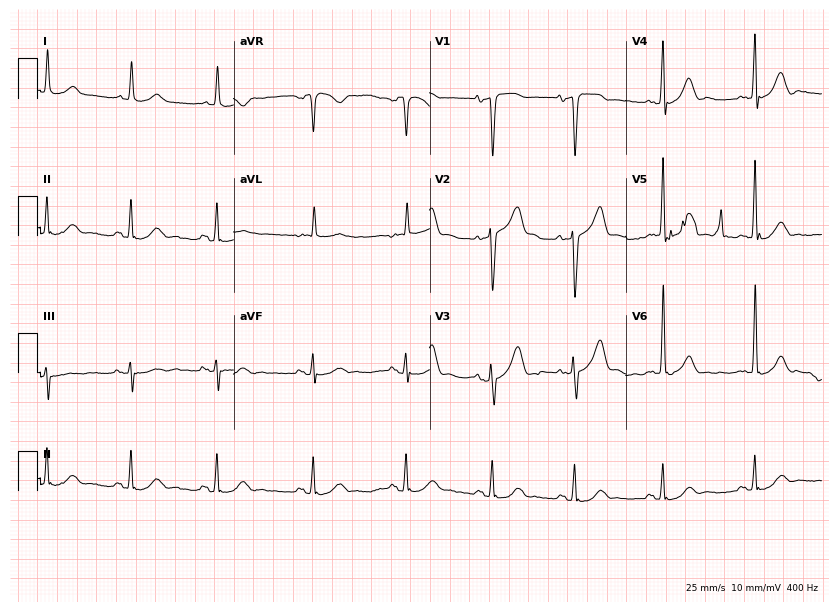
12-lead ECG from a 79-year-old man. Labelled as a normal ECG.